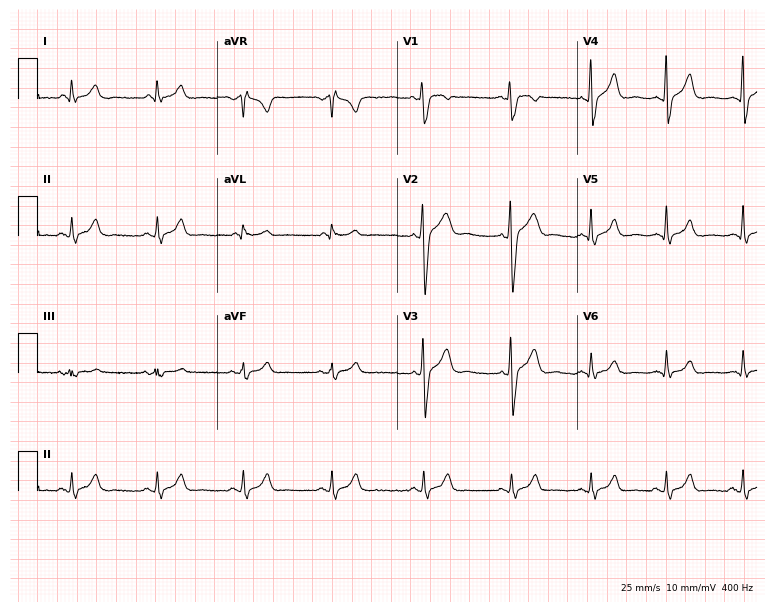
Resting 12-lead electrocardiogram (7.3-second recording at 400 Hz). Patient: a 21-year-old male. Read as a normal ECG.